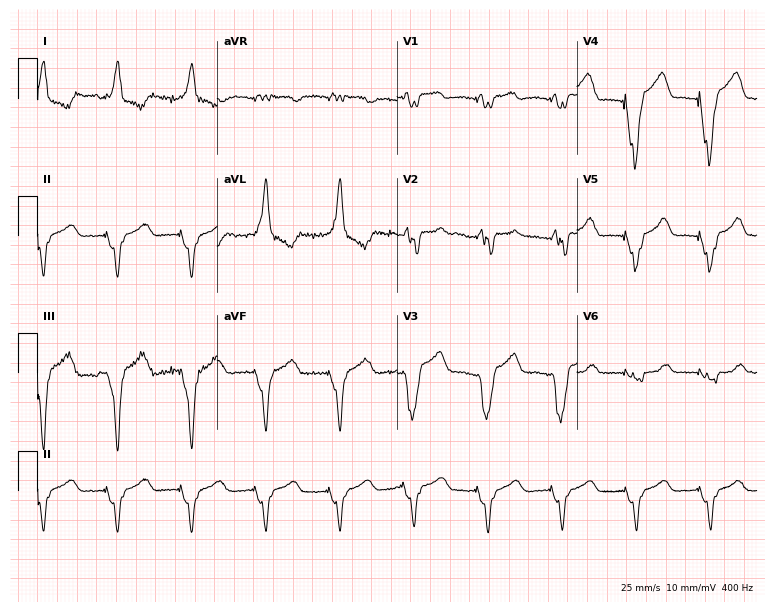
12-lead ECG from a woman, 49 years old (7.3-second recording at 400 Hz). No first-degree AV block, right bundle branch block (RBBB), left bundle branch block (LBBB), sinus bradycardia, atrial fibrillation (AF) or sinus tachycardia recorded for this tracing.